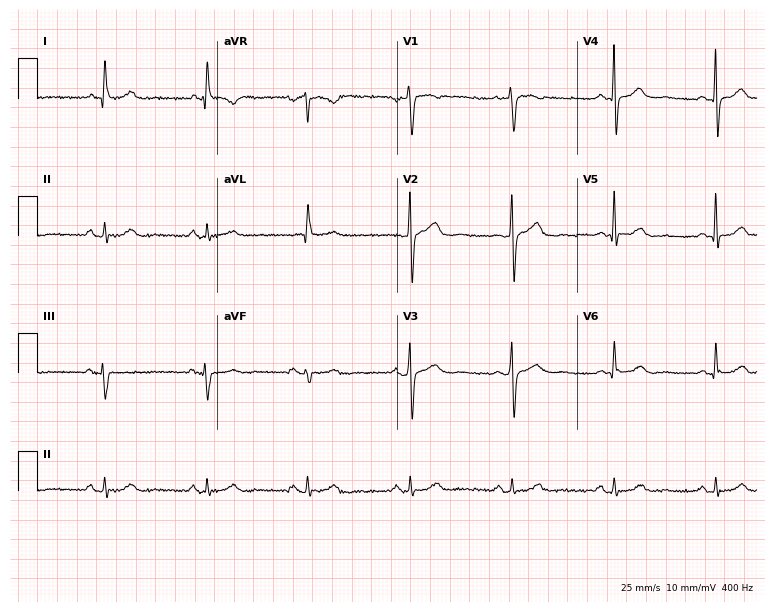
Standard 12-lead ECG recorded from a female, 58 years old. Read as a normal ECG.